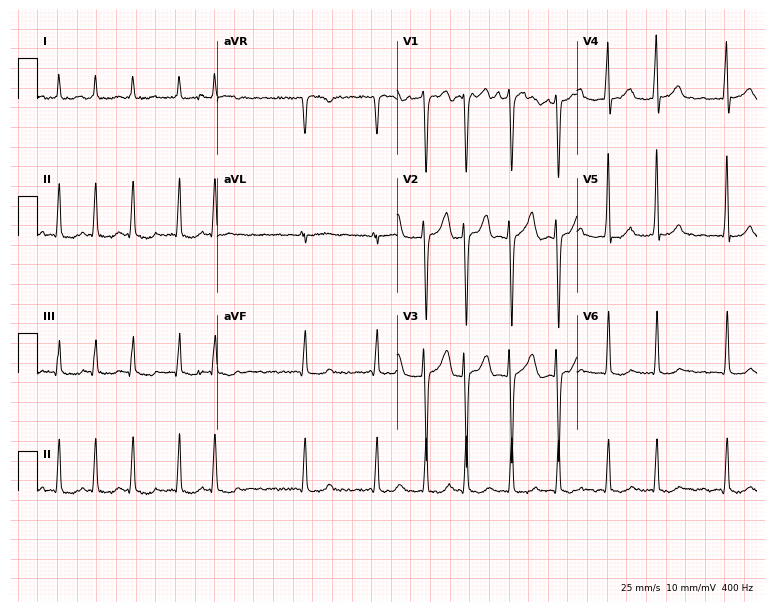
Electrocardiogram, a 66-year-old man. Interpretation includes atrial fibrillation (AF).